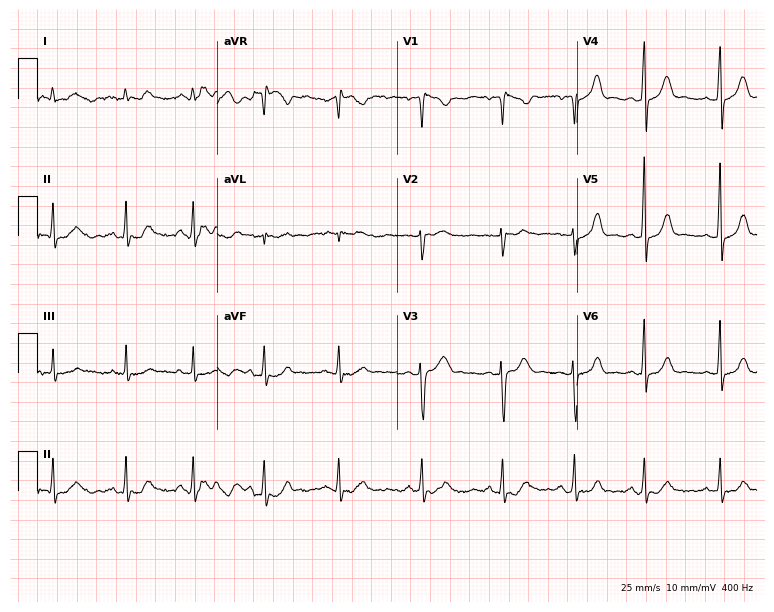
Resting 12-lead electrocardiogram (7.3-second recording at 400 Hz). Patient: a female, 18 years old. Read as a normal ECG.